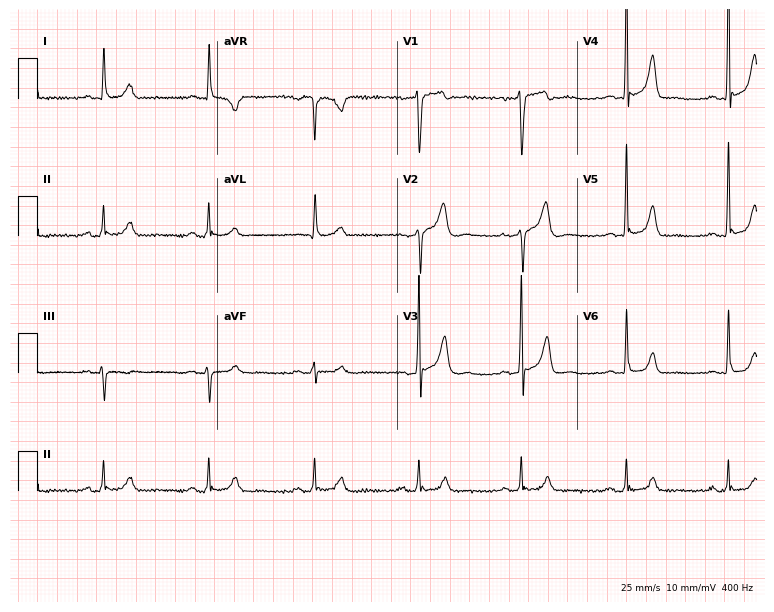
Resting 12-lead electrocardiogram (7.3-second recording at 400 Hz). Patient: a male, 54 years old. Read as a normal ECG.